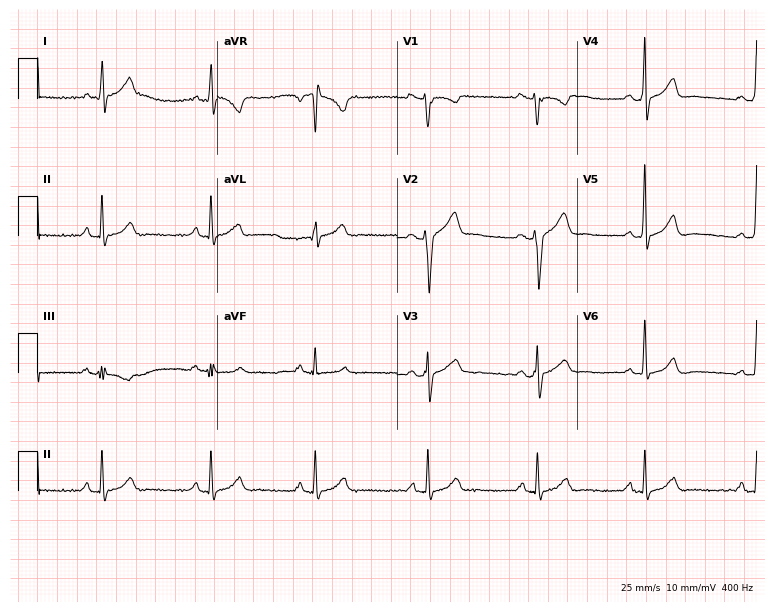
Resting 12-lead electrocardiogram (7.3-second recording at 400 Hz). Patient: a 26-year-old male. Read as a normal ECG.